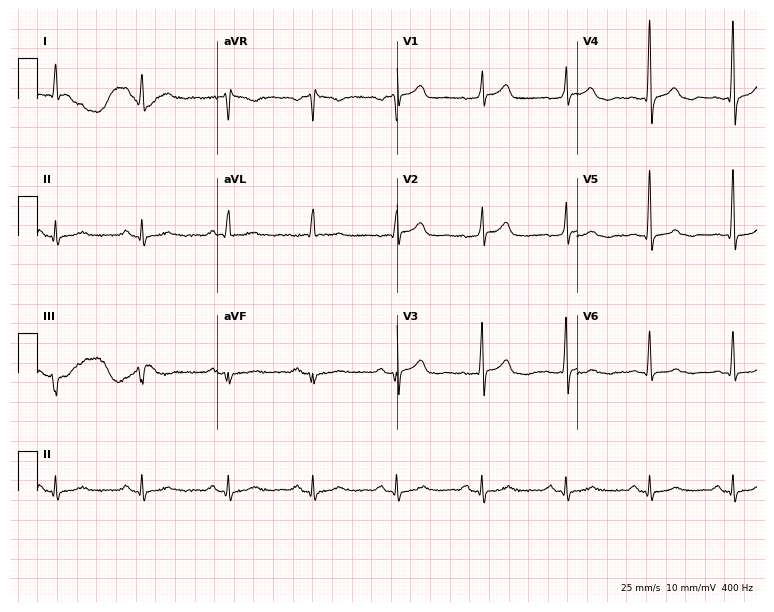
Resting 12-lead electrocardiogram. Patient: a 69-year-old man. Read as a normal ECG.